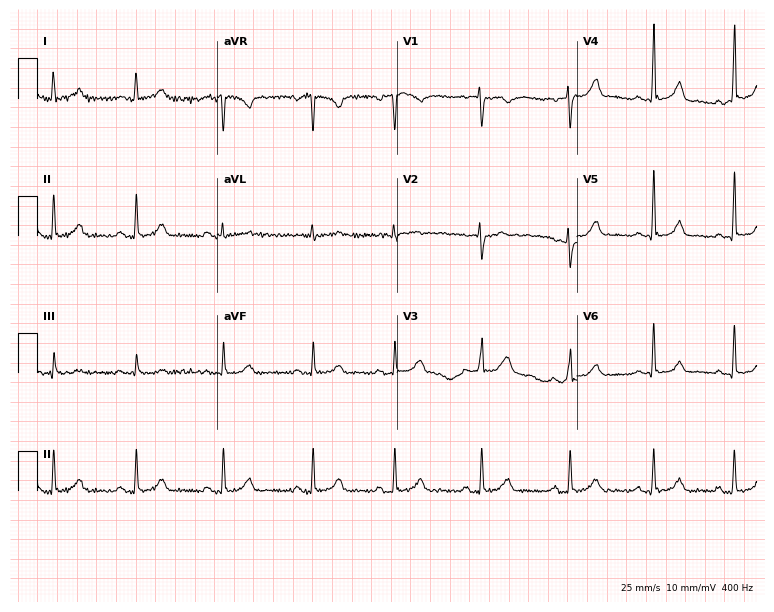
12-lead ECG (7.3-second recording at 400 Hz) from a woman, 31 years old. Labelled as a normal ECG.